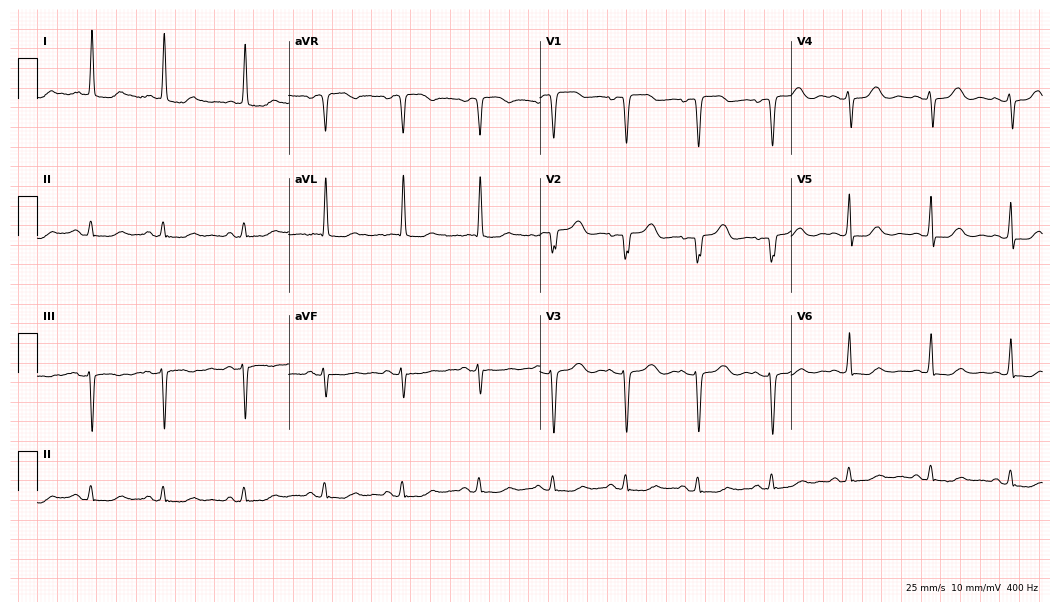
12-lead ECG from a woman, 70 years old (10.2-second recording at 400 Hz). Recorded interpretation: within normal limits.